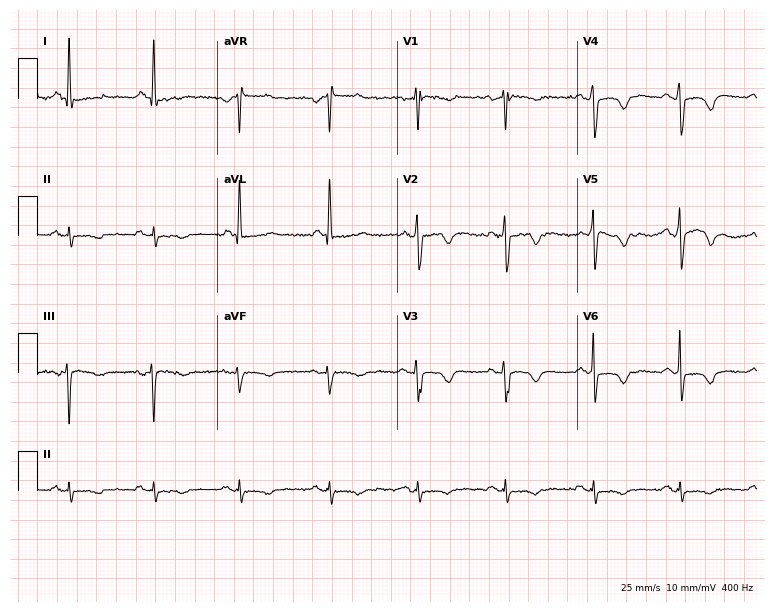
ECG (7.3-second recording at 400 Hz) — a 50-year-old female. Screened for six findings — first-degree AV block, right bundle branch block, left bundle branch block, sinus bradycardia, atrial fibrillation, sinus tachycardia — none is recorded. Only these six findings were labelled.